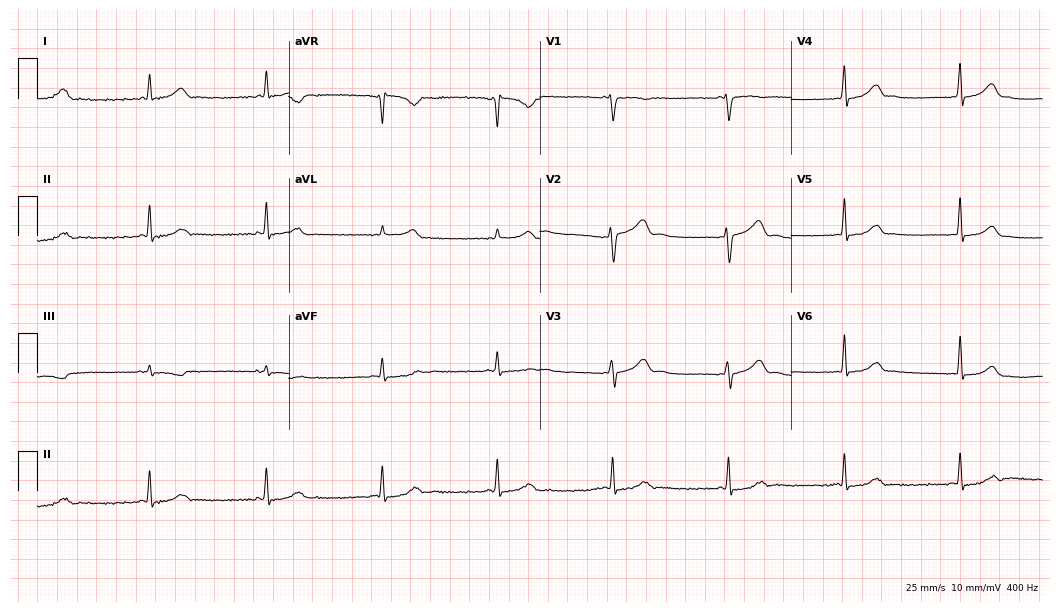
ECG — a 35-year-old woman. Screened for six findings — first-degree AV block, right bundle branch block, left bundle branch block, sinus bradycardia, atrial fibrillation, sinus tachycardia — none is recorded.